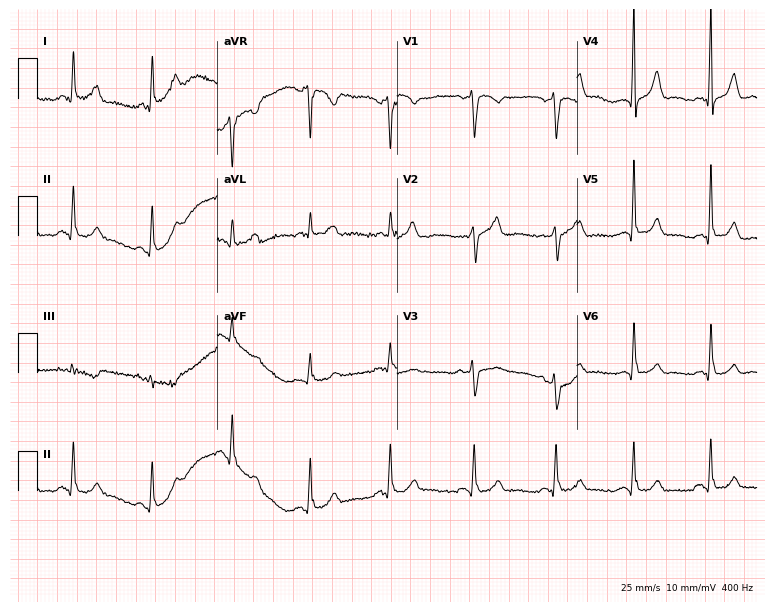
Standard 12-lead ECG recorded from a male, 49 years old. Read as a normal ECG.